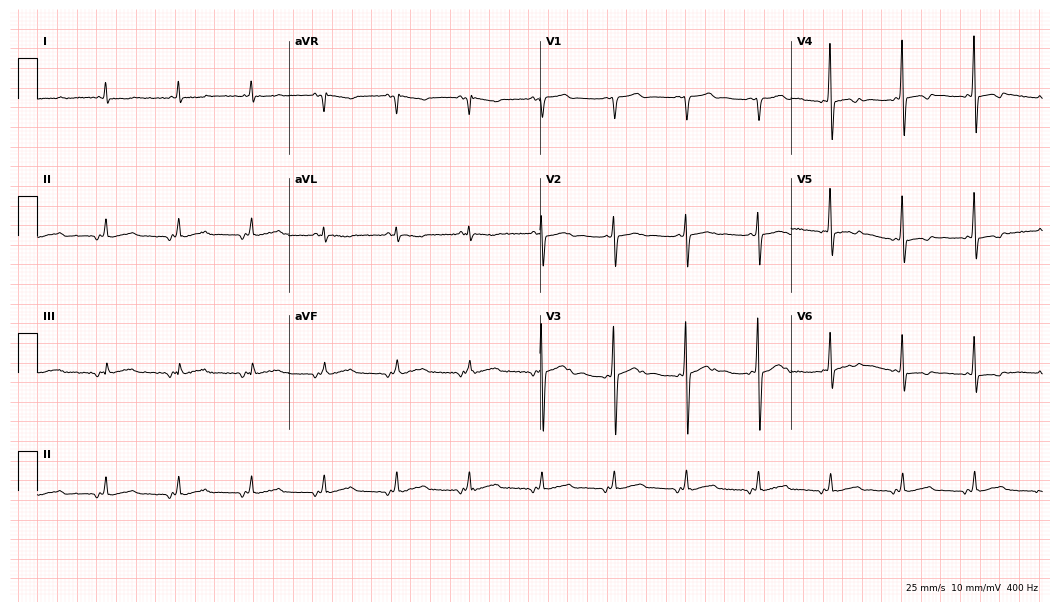
Resting 12-lead electrocardiogram (10.2-second recording at 400 Hz). Patient: a male, 71 years old. None of these six findings is recorded: first-degree AV block, right bundle branch block (RBBB), left bundle branch block (LBBB), sinus bradycardia, atrial fibrillation (AF), sinus tachycardia.